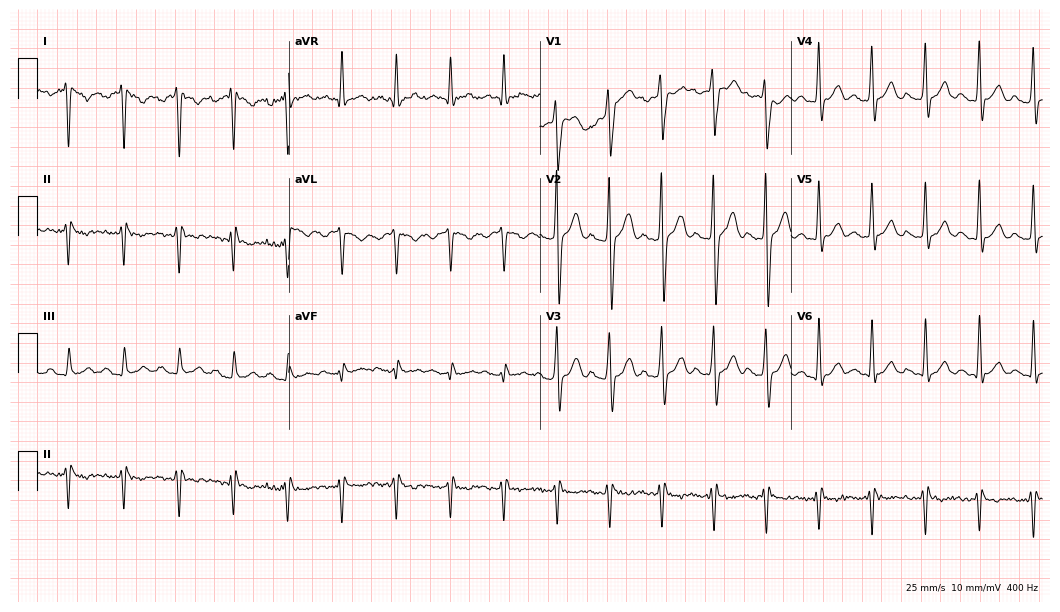
12-lead ECG from a 25-year-old woman. No first-degree AV block, right bundle branch block, left bundle branch block, sinus bradycardia, atrial fibrillation or sinus tachycardia recorded for this tracing.